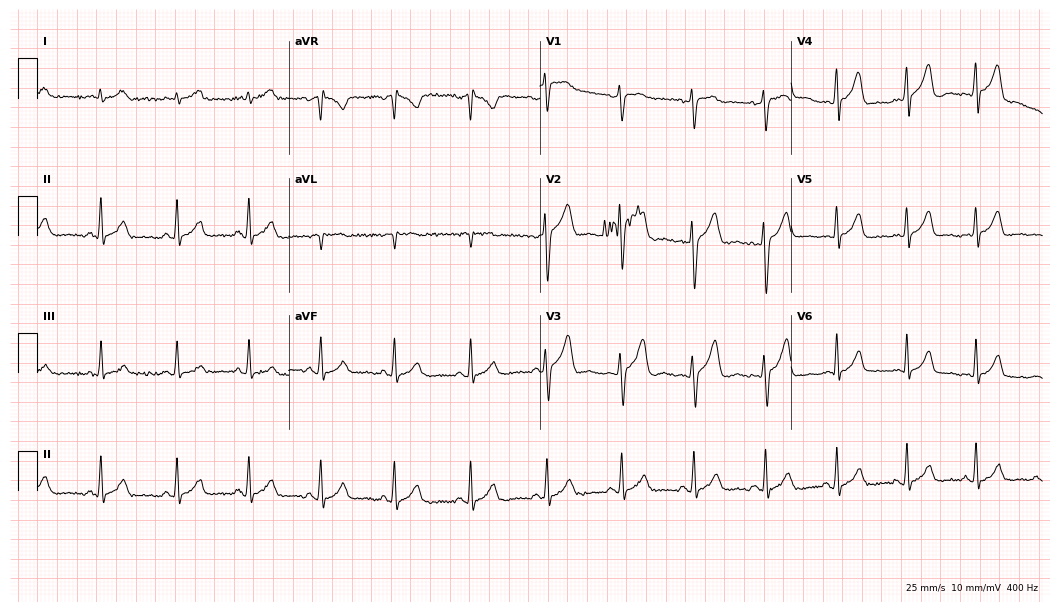
12-lead ECG from a 22-year-old male (10.2-second recording at 400 Hz). Recorded interpretation: within normal limits.